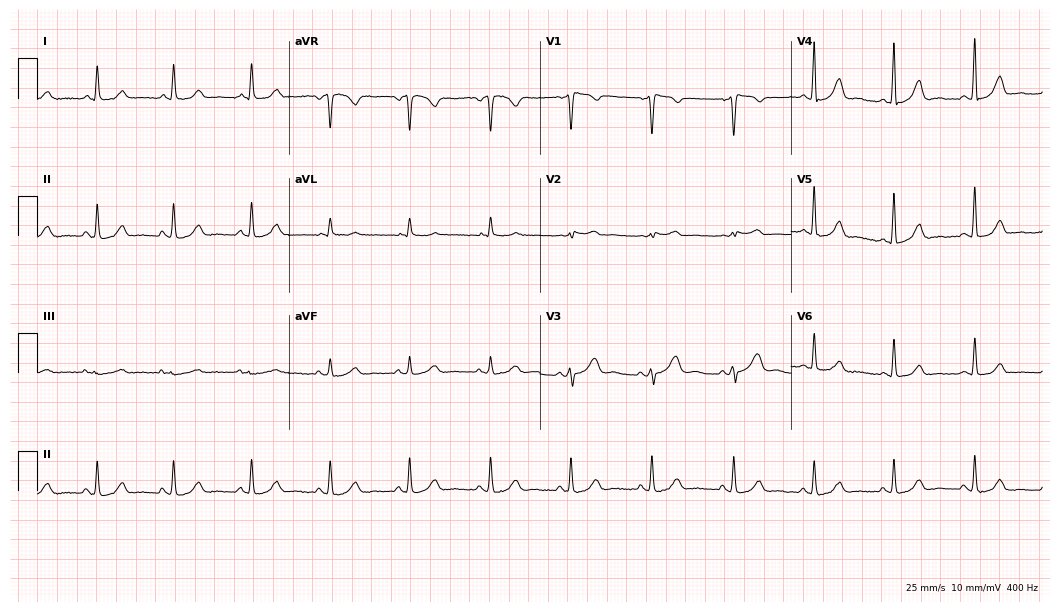
Electrocardiogram (10.2-second recording at 400 Hz), a female patient, 56 years old. Overall reading on record: normal ECG.